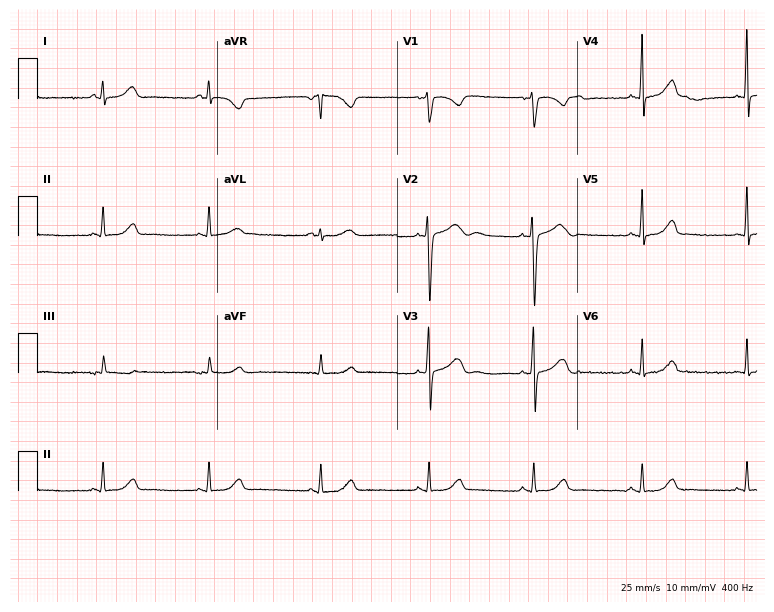
12-lead ECG from a female patient, 23 years old. Labelled as a normal ECG.